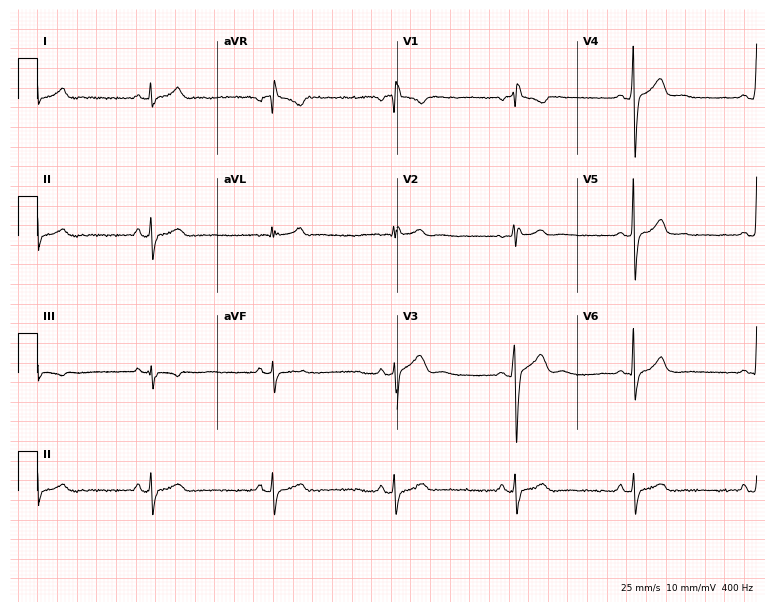
12-lead ECG from a 30-year-old man. Screened for six findings — first-degree AV block, right bundle branch block, left bundle branch block, sinus bradycardia, atrial fibrillation, sinus tachycardia — none is recorded.